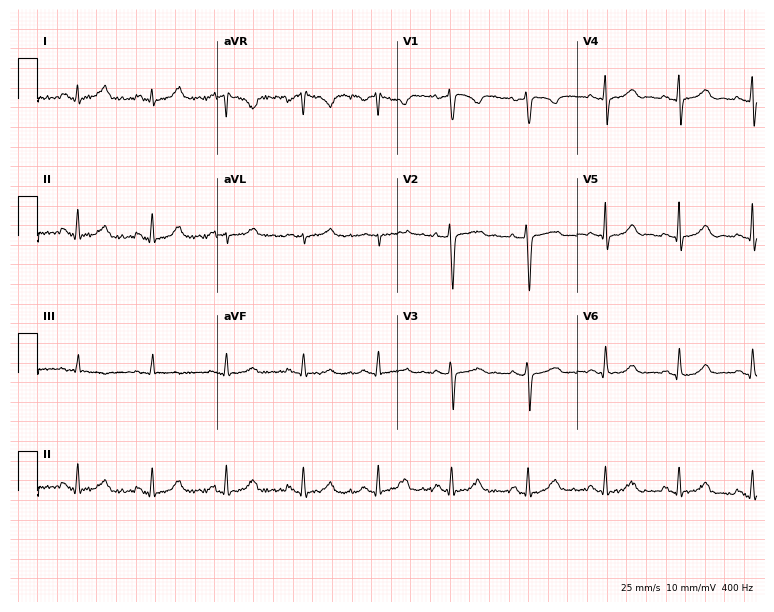
Resting 12-lead electrocardiogram (7.3-second recording at 400 Hz). Patient: a female, 41 years old. None of these six findings is recorded: first-degree AV block, right bundle branch block, left bundle branch block, sinus bradycardia, atrial fibrillation, sinus tachycardia.